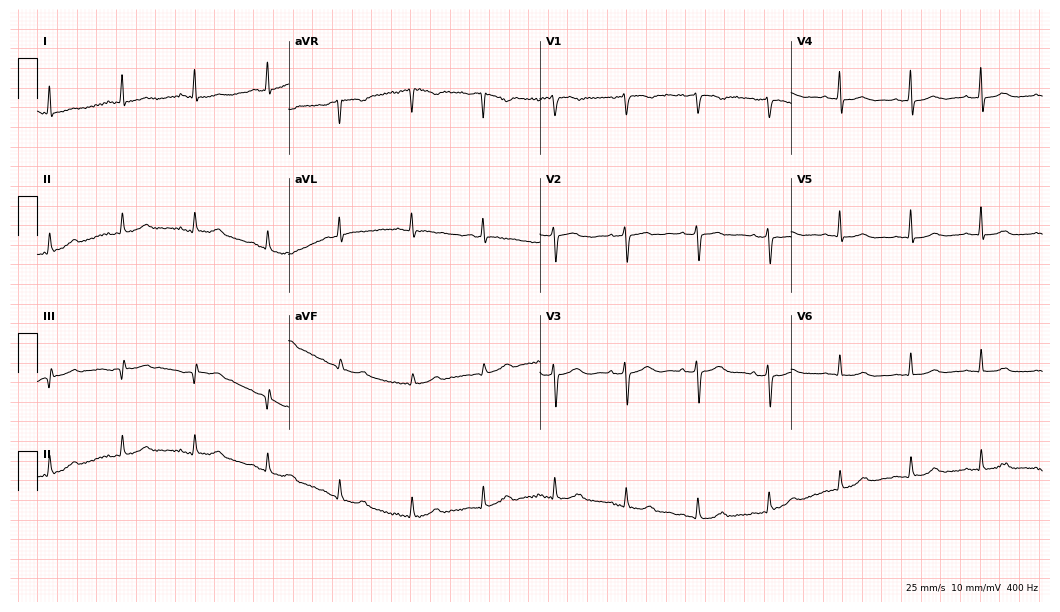
Electrocardiogram (10.2-second recording at 400 Hz), a 70-year-old female patient. Overall reading on record: normal ECG.